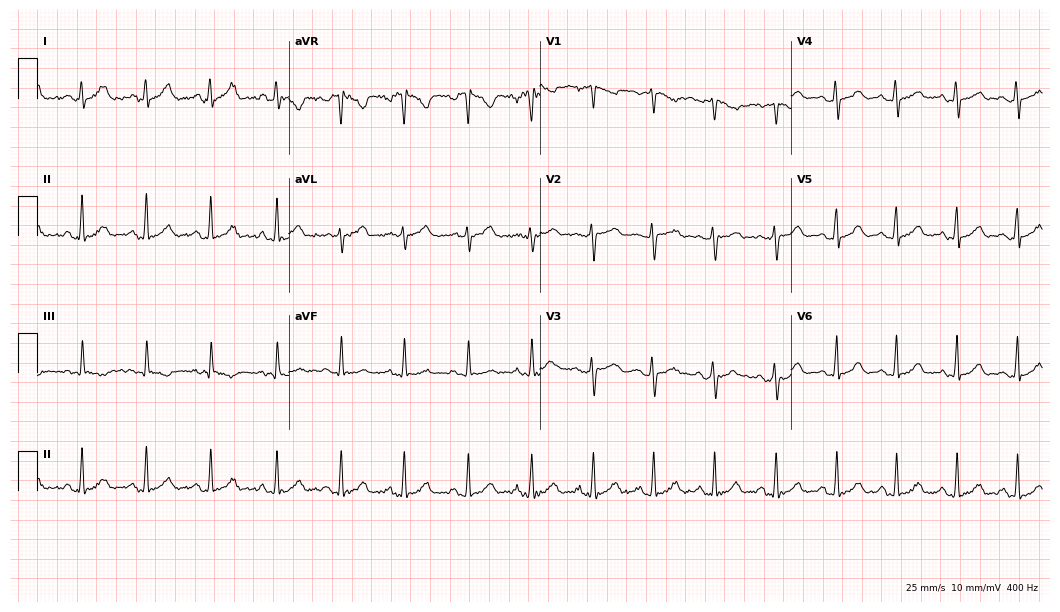
12-lead ECG from a female, 22 years old (10.2-second recording at 400 Hz). Recorded interpretation: within normal limits.